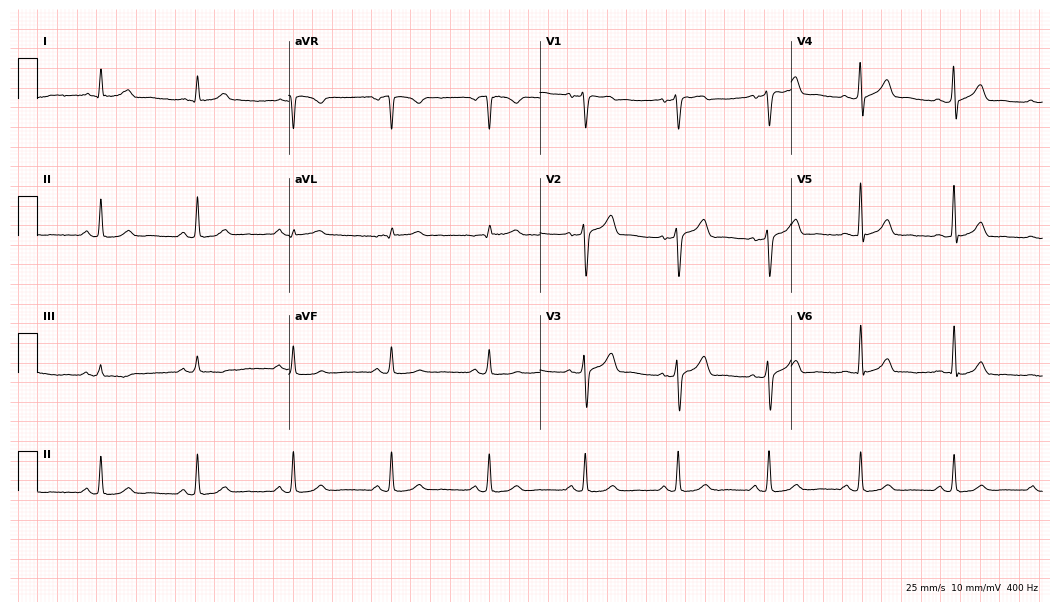
Resting 12-lead electrocardiogram (10.2-second recording at 400 Hz). Patient: a man, 59 years old. Read as a normal ECG.